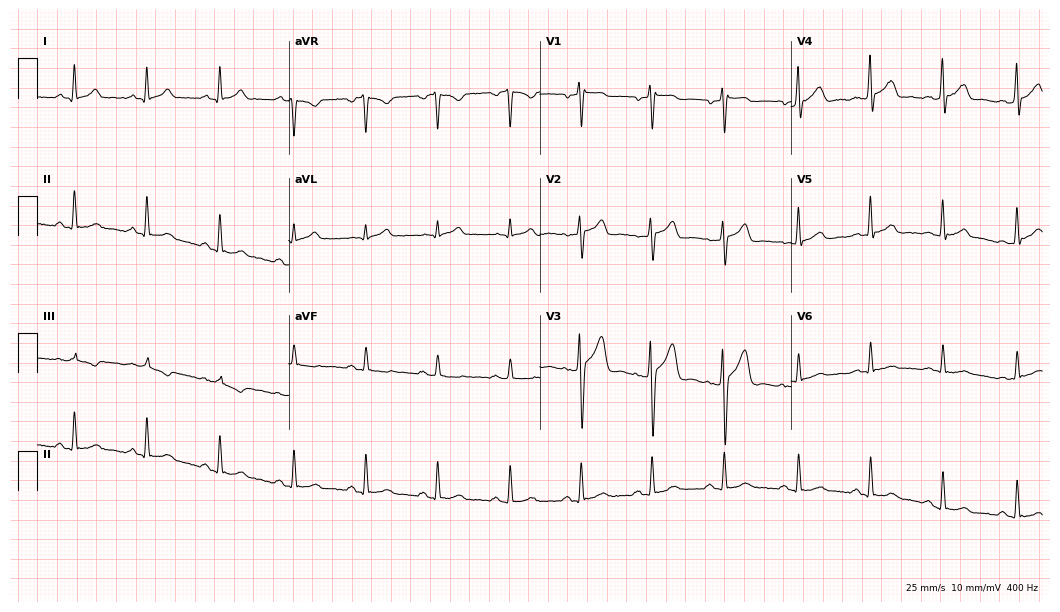
ECG (10.2-second recording at 400 Hz) — a 37-year-old male patient. Screened for six findings — first-degree AV block, right bundle branch block (RBBB), left bundle branch block (LBBB), sinus bradycardia, atrial fibrillation (AF), sinus tachycardia — none is recorded. Only these six findings were labelled.